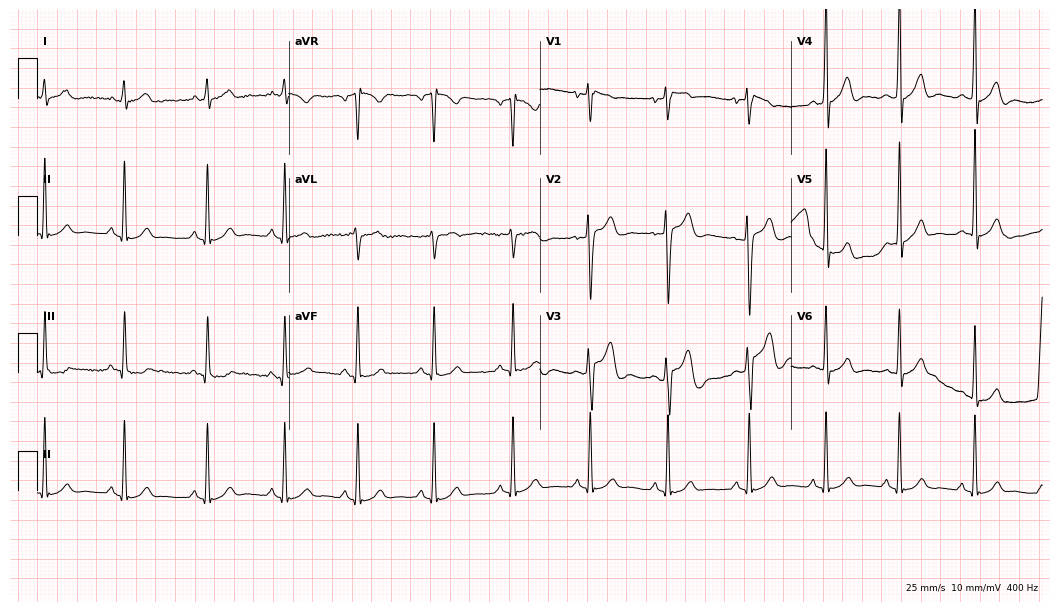
12-lead ECG from a male, 17 years old. Screened for six findings — first-degree AV block, right bundle branch block, left bundle branch block, sinus bradycardia, atrial fibrillation, sinus tachycardia — none is recorded.